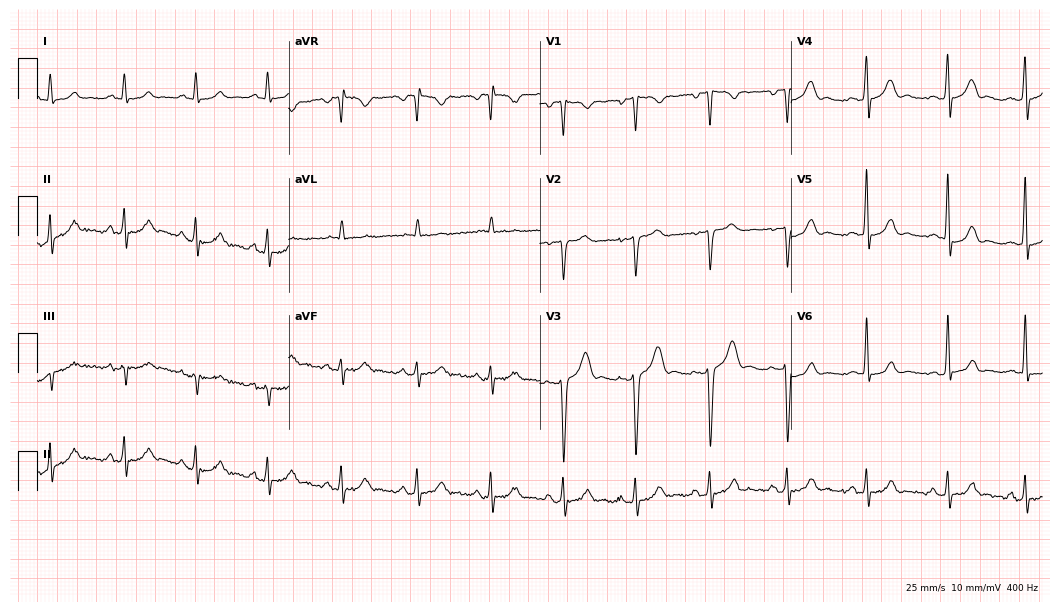
Standard 12-lead ECG recorded from a male patient, 56 years old (10.2-second recording at 400 Hz). Read as a normal ECG.